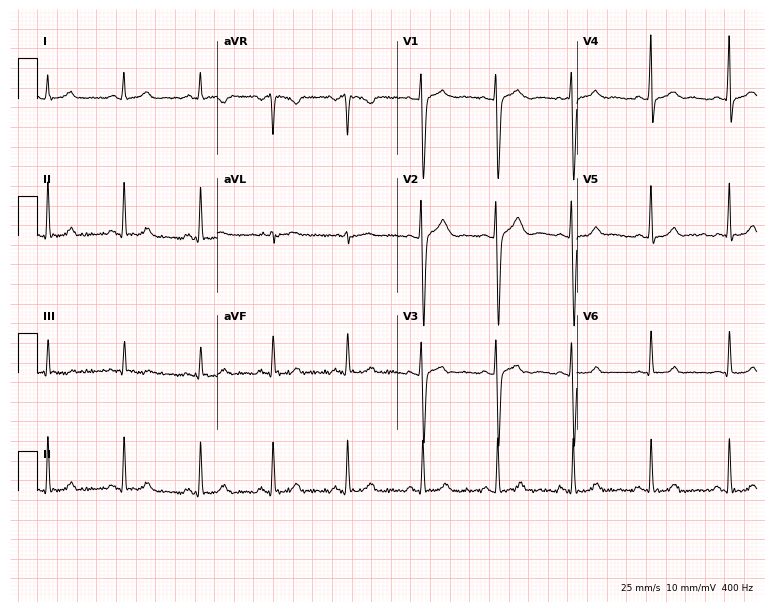
Electrocardiogram, a woman, 19 years old. Overall reading on record: normal ECG.